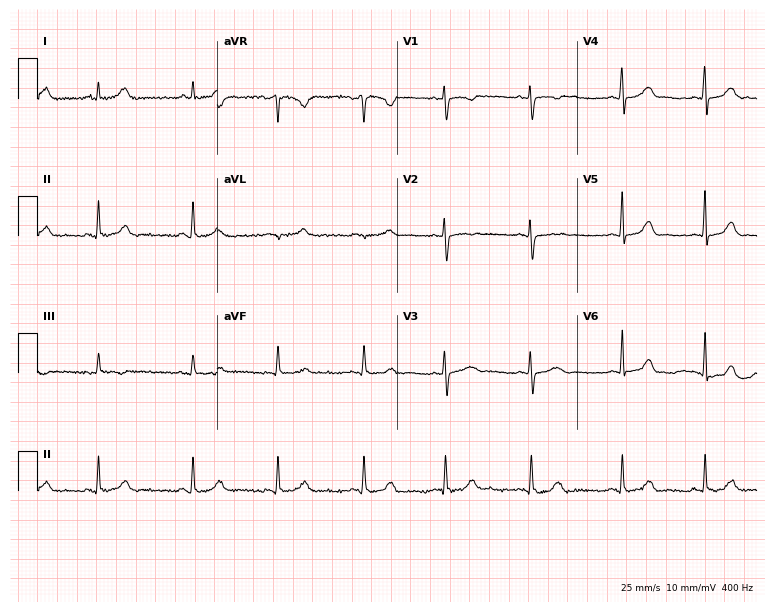
12-lead ECG from a 34-year-old woman (7.3-second recording at 400 Hz). No first-degree AV block, right bundle branch block, left bundle branch block, sinus bradycardia, atrial fibrillation or sinus tachycardia recorded for this tracing.